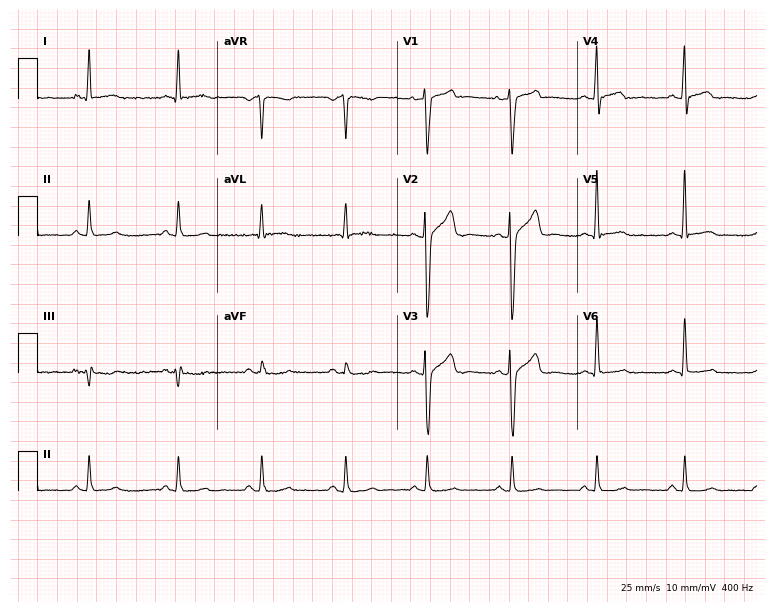
Electrocardiogram, a male, 39 years old. Of the six screened findings (first-degree AV block, right bundle branch block (RBBB), left bundle branch block (LBBB), sinus bradycardia, atrial fibrillation (AF), sinus tachycardia), none is recorded. Findings outside these six are not listed.